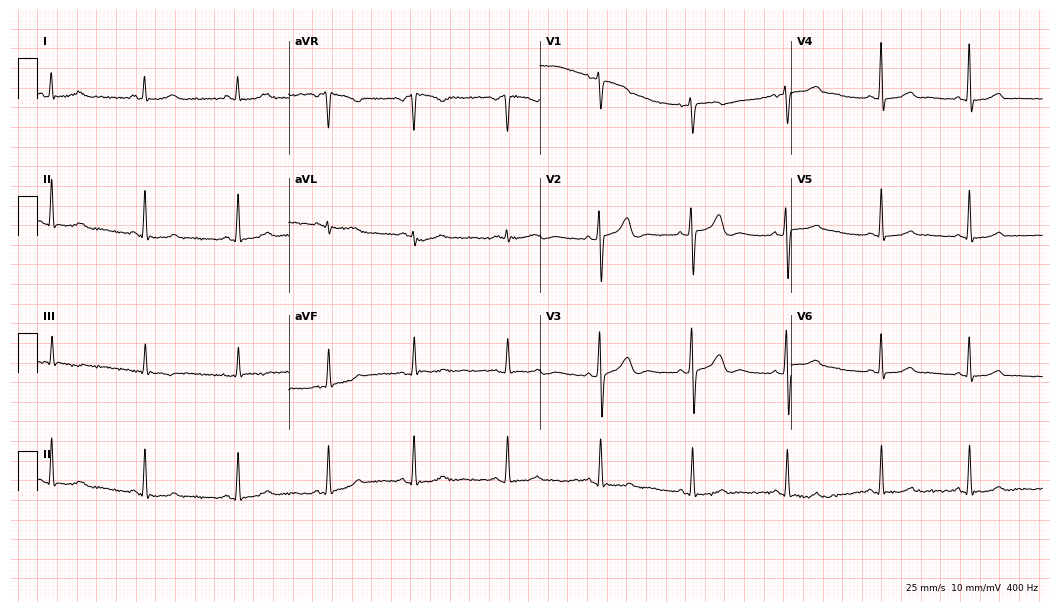
Resting 12-lead electrocardiogram (10.2-second recording at 400 Hz). Patient: a female, 36 years old. None of these six findings is recorded: first-degree AV block, right bundle branch block (RBBB), left bundle branch block (LBBB), sinus bradycardia, atrial fibrillation (AF), sinus tachycardia.